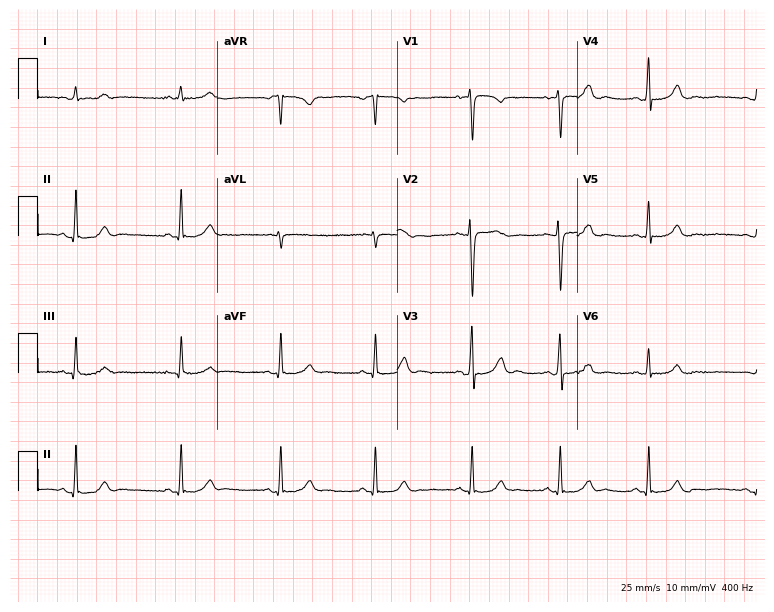
ECG (7.3-second recording at 400 Hz) — a female, 24 years old. Labelled as a normal ECG.